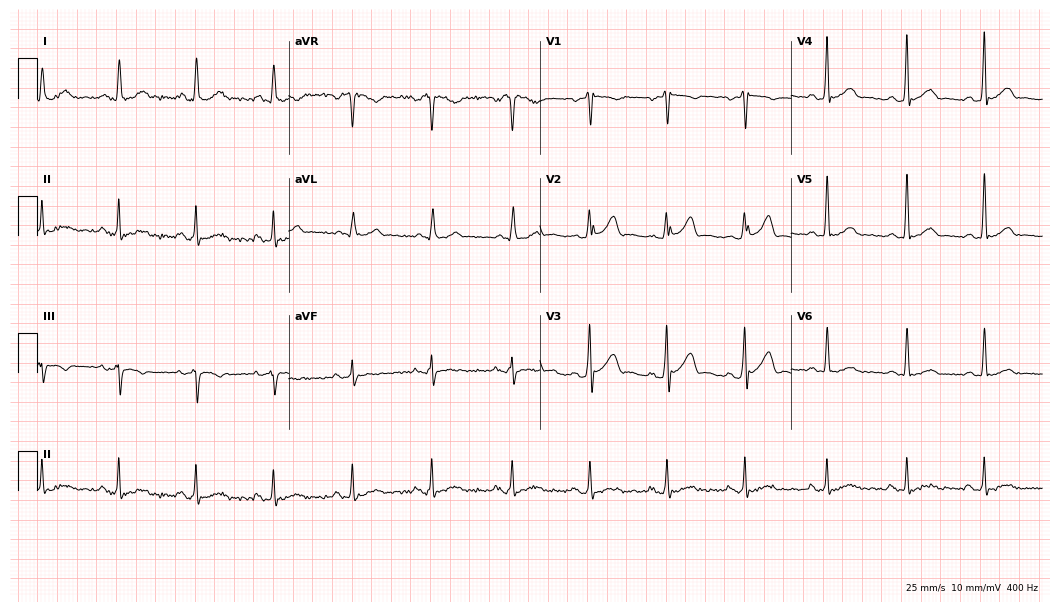
ECG — a 28-year-old male patient. Labelled as a normal ECG.